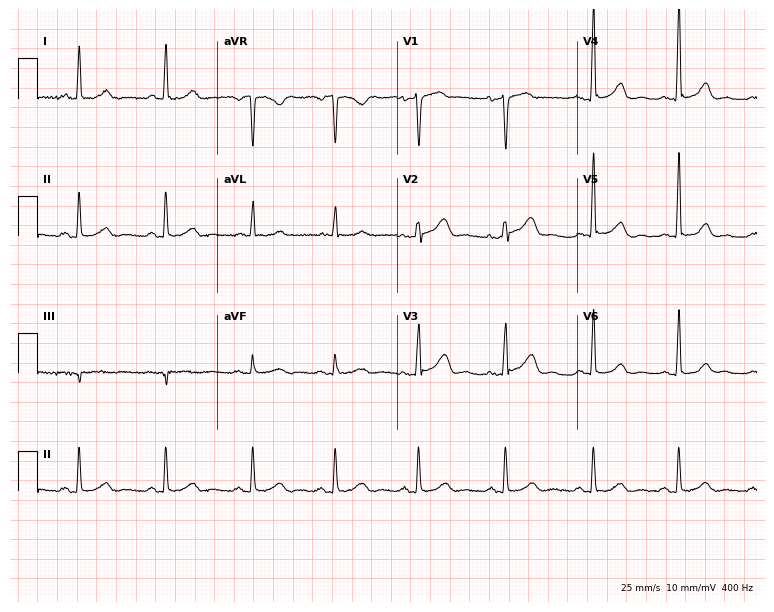
Resting 12-lead electrocardiogram. Patient: a female, 41 years old. None of these six findings is recorded: first-degree AV block, right bundle branch block (RBBB), left bundle branch block (LBBB), sinus bradycardia, atrial fibrillation (AF), sinus tachycardia.